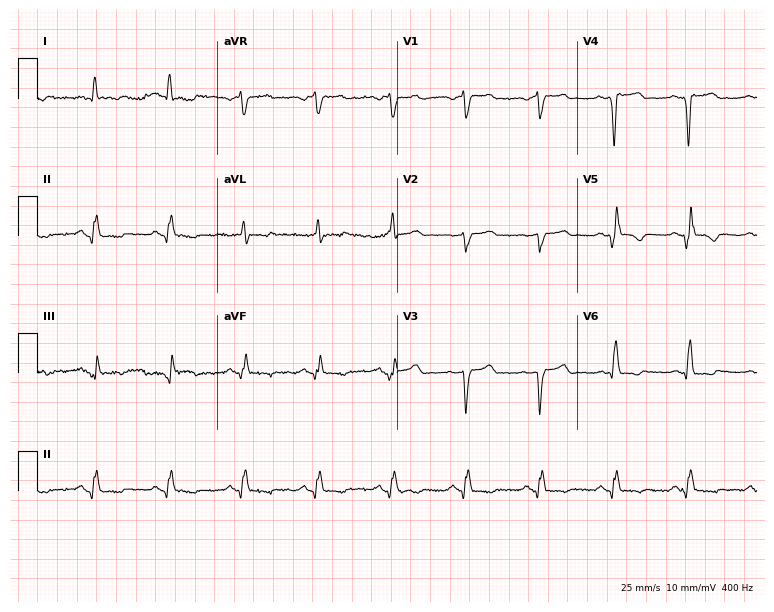
Resting 12-lead electrocardiogram. Patient: a man, 71 years old. None of these six findings is recorded: first-degree AV block, right bundle branch block, left bundle branch block, sinus bradycardia, atrial fibrillation, sinus tachycardia. Only these six findings were labelled.